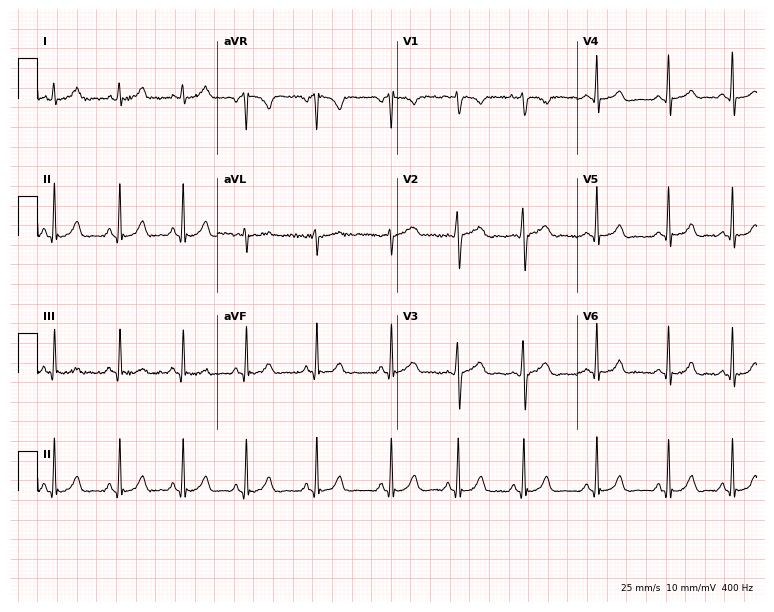
Electrocardiogram, a female, 19 years old. Overall reading on record: normal ECG.